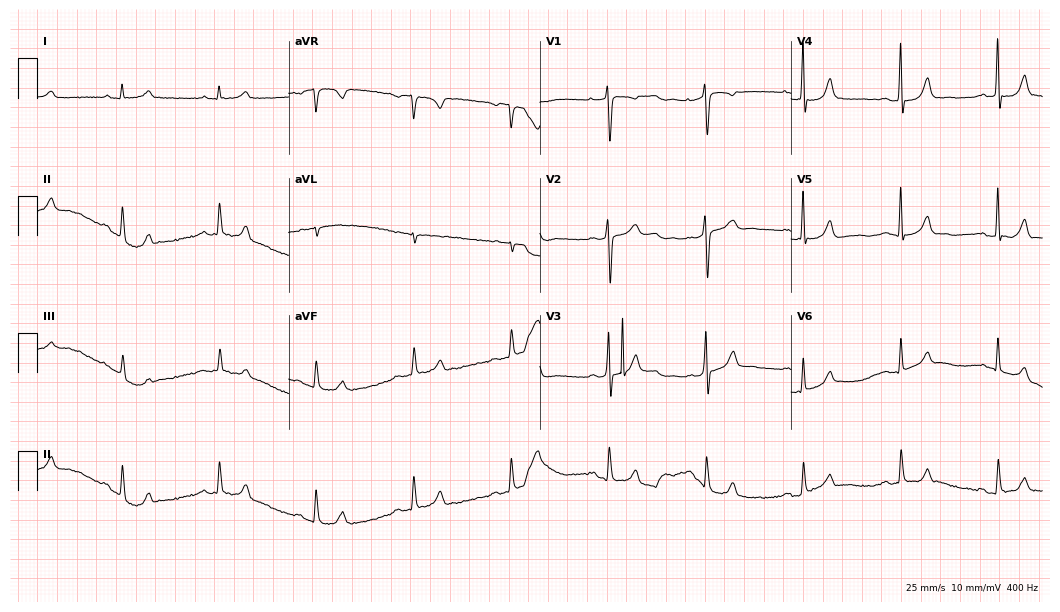
Standard 12-lead ECG recorded from a 59-year-old male (10.2-second recording at 400 Hz). Read as a normal ECG.